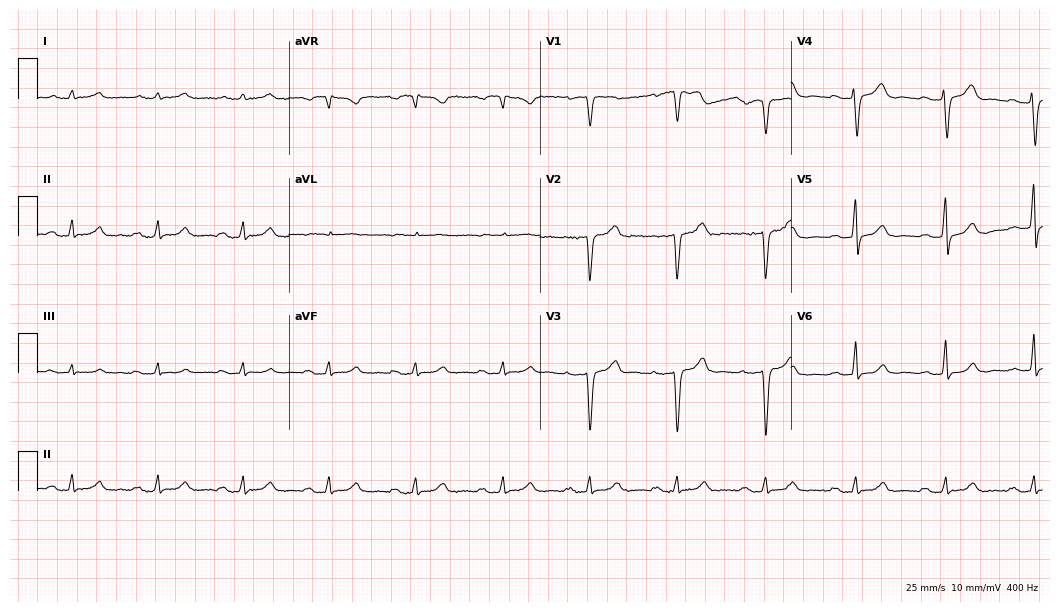
Standard 12-lead ECG recorded from a male, 63 years old. The tracing shows first-degree AV block.